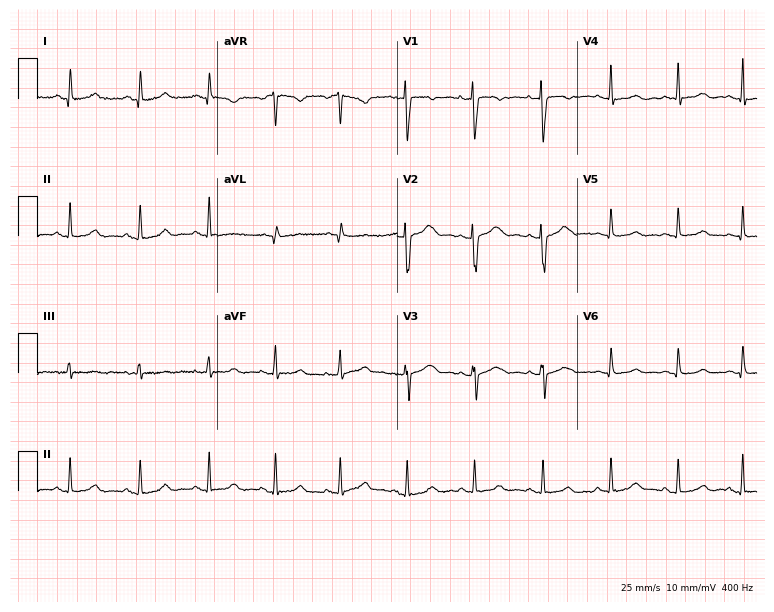
Standard 12-lead ECG recorded from a woman, 51 years old (7.3-second recording at 400 Hz). None of these six findings is recorded: first-degree AV block, right bundle branch block, left bundle branch block, sinus bradycardia, atrial fibrillation, sinus tachycardia. Findings outside these six are not listed.